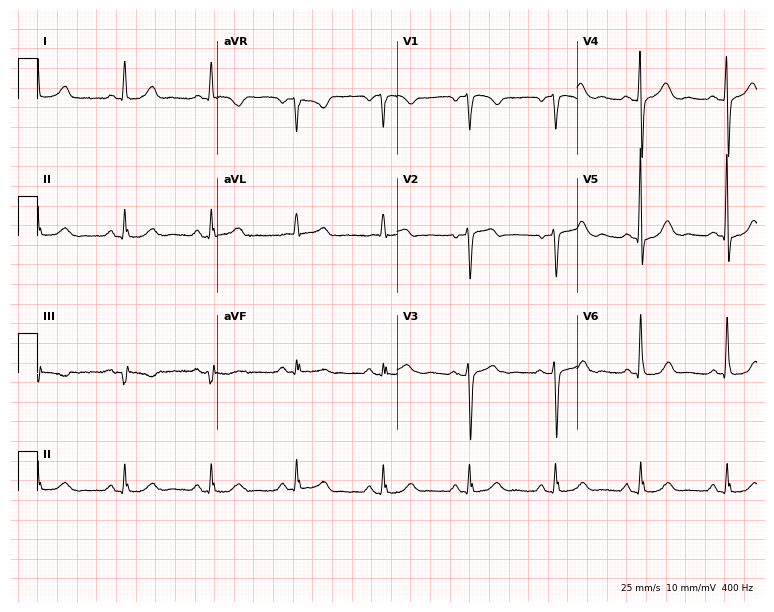
ECG (7.3-second recording at 400 Hz) — a woman, 54 years old. Screened for six findings — first-degree AV block, right bundle branch block, left bundle branch block, sinus bradycardia, atrial fibrillation, sinus tachycardia — none is recorded.